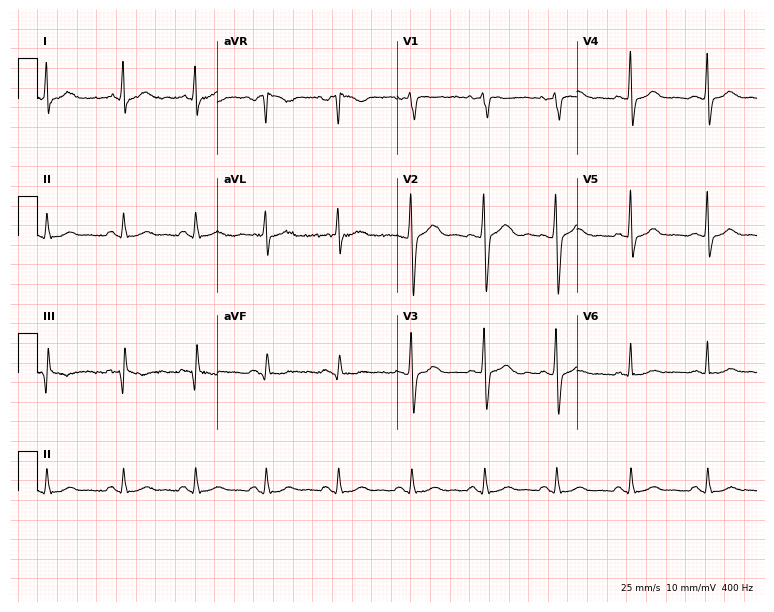
Resting 12-lead electrocardiogram. Patient: a female, 46 years old. None of these six findings is recorded: first-degree AV block, right bundle branch block, left bundle branch block, sinus bradycardia, atrial fibrillation, sinus tachycardia. Findings outside these six are not listed.